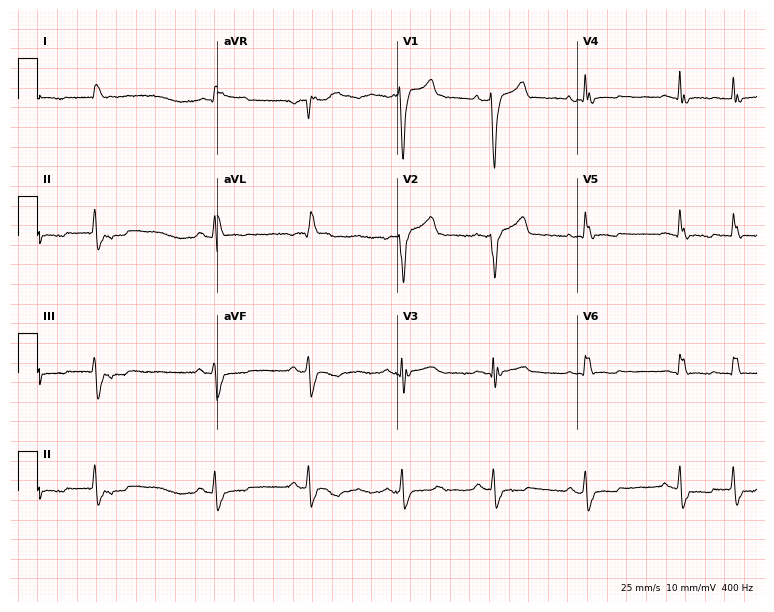
Standard 12-lead ECG recorded from an 85-year-old male (7.3-second recording at 400 Hz). None of these six findings is recorded: first-degree AV block, right bundle branch block (RBBB), left bundle branch block (LBBB), sinus bradycardia, atrial fibrillation (AF), sinus tachycardia.